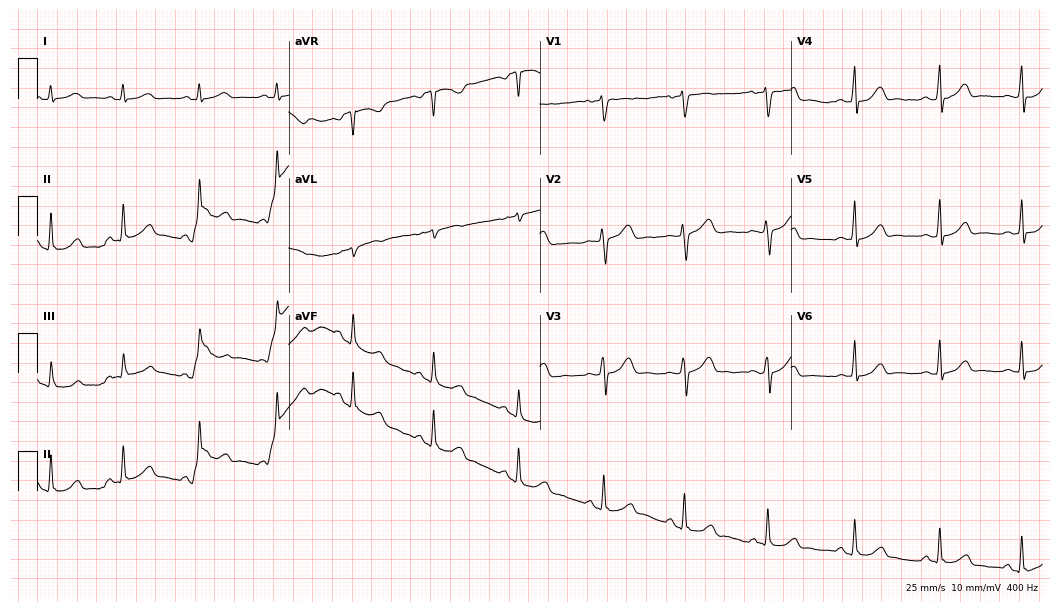
12-lead ECG from a woman, 39 years old. Labelled as a normal ECG.